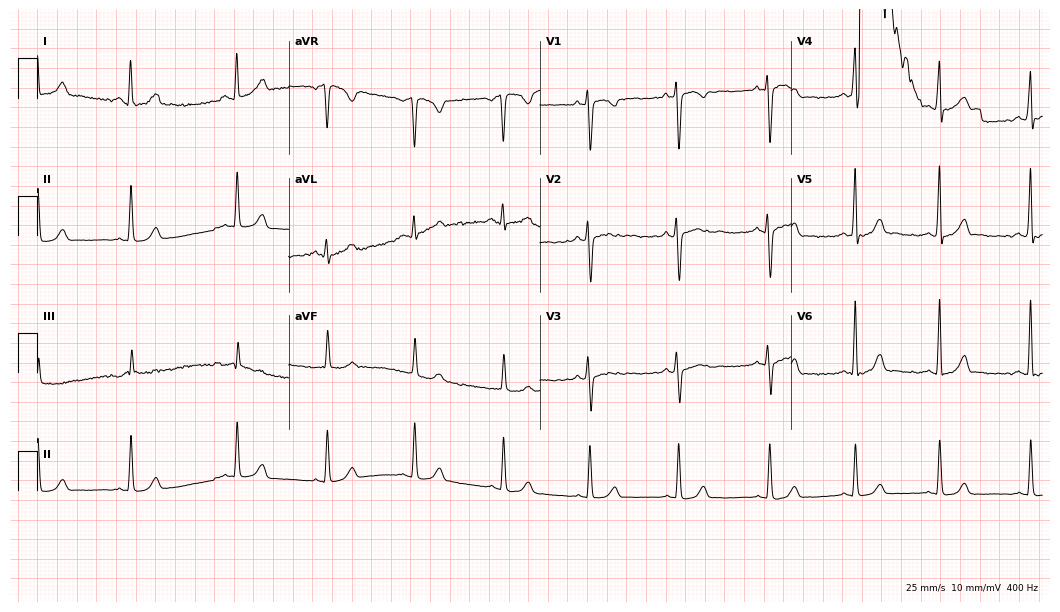
12-lead ECG from a female, 21 years old (10.2-second recording at 400 Hz). Recorded interpretation: within normal limits.